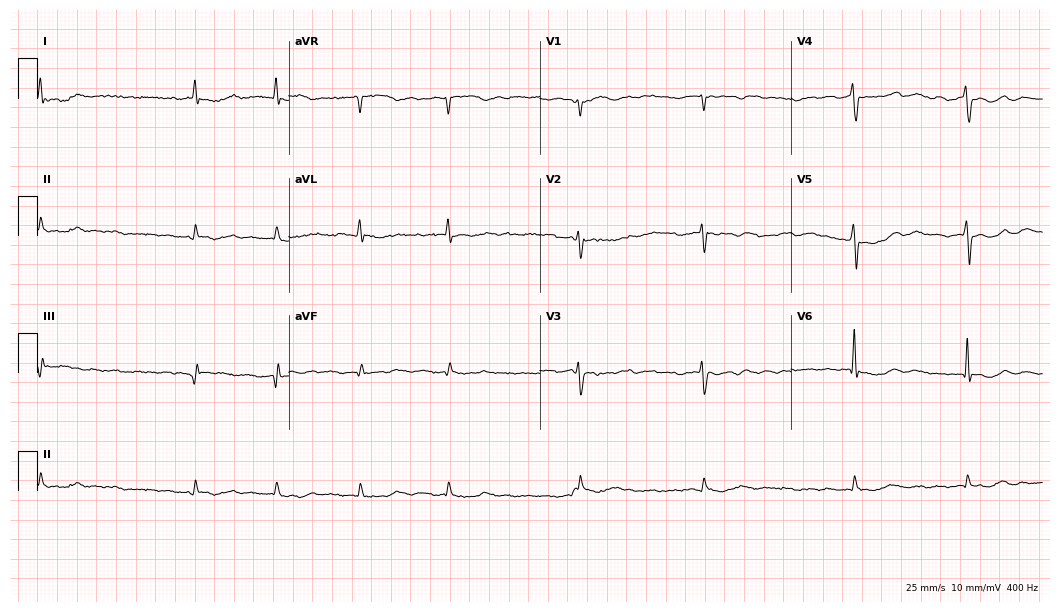
Resting 12-lead electrocardiogram (10.2-second recording at 400 Hz). Patient: a 57-year-old female. The tracing shows atrial fibrillation (AF).